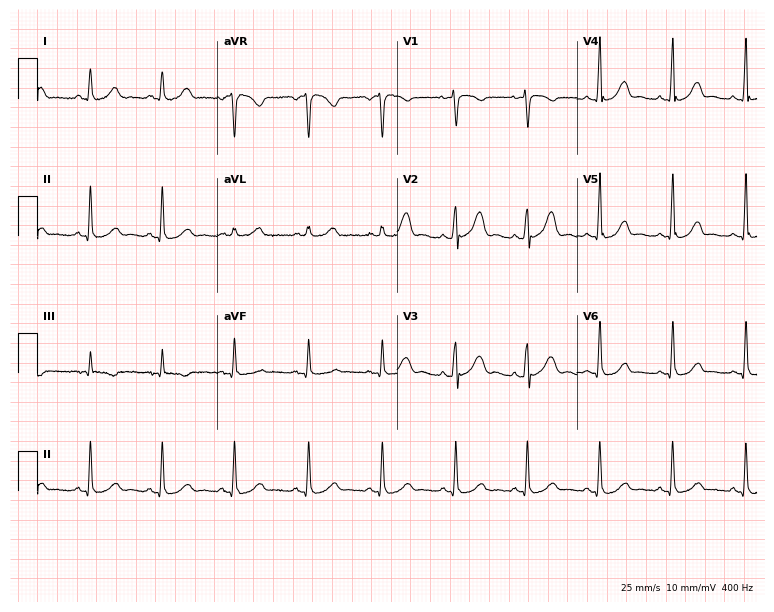
Standard 12-lead ECG recorded from a 37-year-old woman. None of these six findings is recorded: first-degree AV block, right bundle branch block (RBBB), left bundle branch block (LBBB), sinus bradycardia, atrial fibrillation (AF), sinus tachycardia. Only these six findings were labelled.